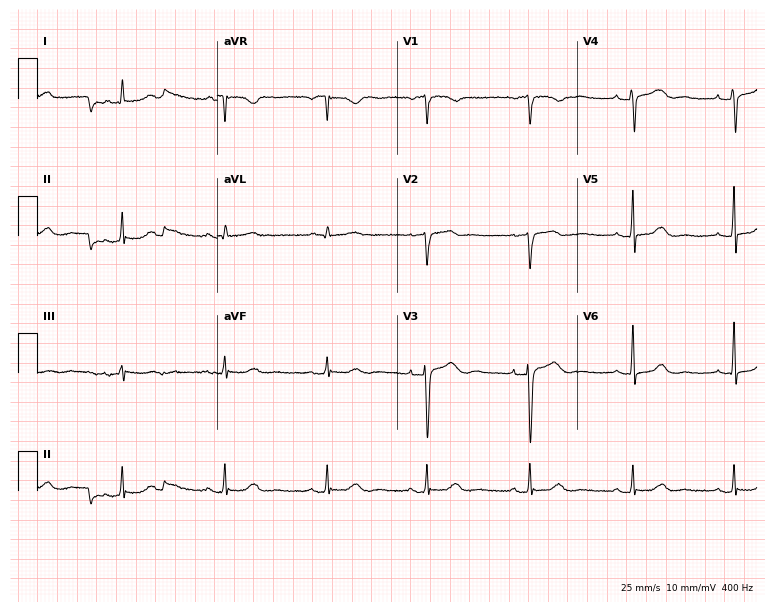
Electrocardiogram (7.3-second recording at 400 Hz), a woman, 58 years old. Overall reading on record: normal ECG.